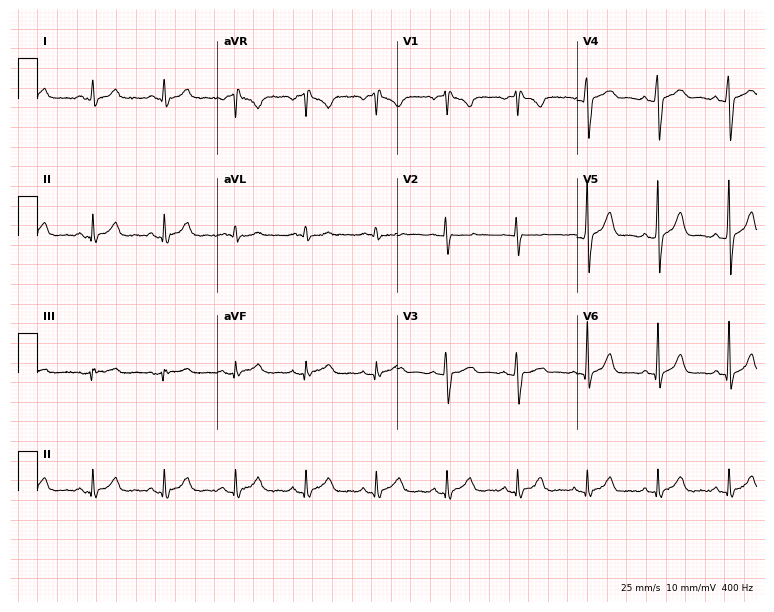
Standard 12-lead ECG recorded from a male, 42 years old. None of these six findings is recorded: first-degree AV block, right bundle branch block, left bundle branch block, sinus bradycardia, atrial fibrillation, sinus tachycardia. Only these six findings were labelled.